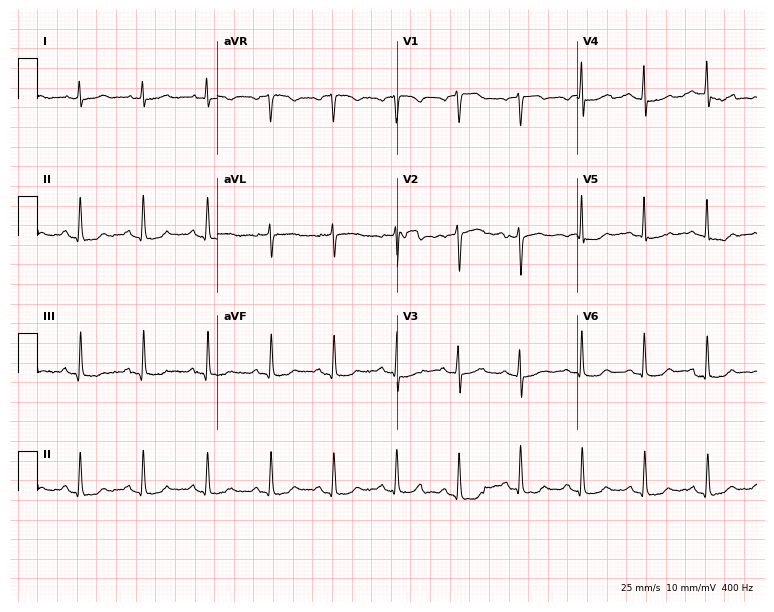
Electrocardiogram, a 54-year-old female. Of the six screened findings (first-degree AV block, right bundle branch block, left bundle branch block, sinus bradycardia, atrial fibrillation, sinus tachycardia), none is recorded. Other findings, if any, are not listed.